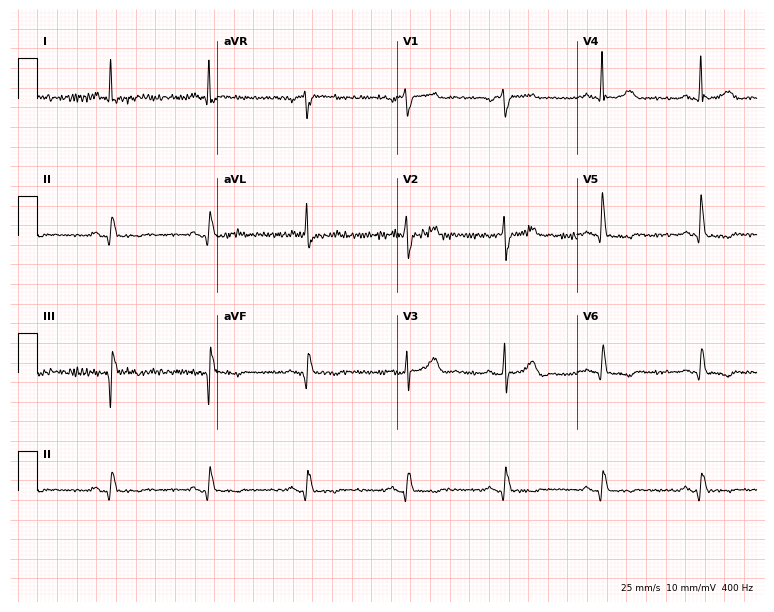
Resting 12-lead electrocardiogram. Patient: a male, 70 years old. None of these six findings is recorded: first-degree AV block, right bundle branch block, left bundle branch block, sinus bradycardia, atrial fibrillation, sinus tachycardia. Other findings, if any, are not listed.